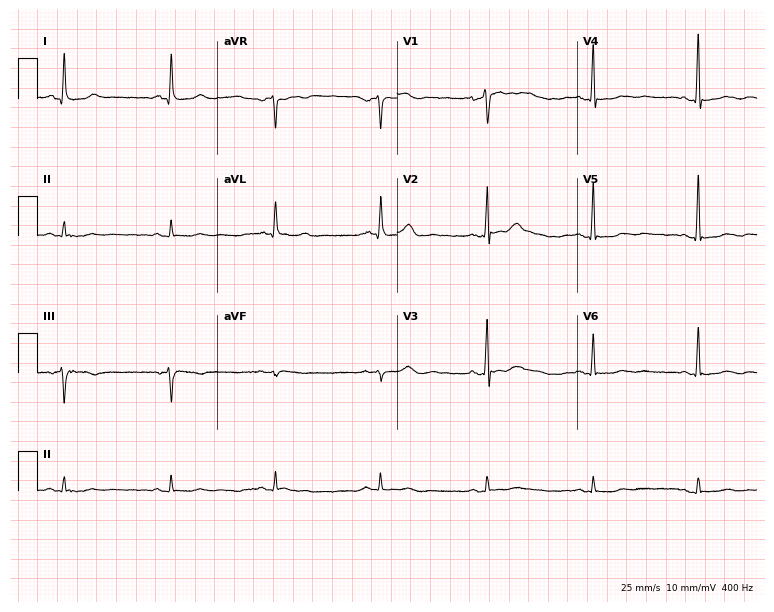
ECG — a female, 66 years old. Screened for six findings — first-degree AV block, right bundle branch block, left bundle branch block, sinus bradycardia, atrial fibrillation, sinus tachycardia — none is recorded. Only these six findings were labelled.